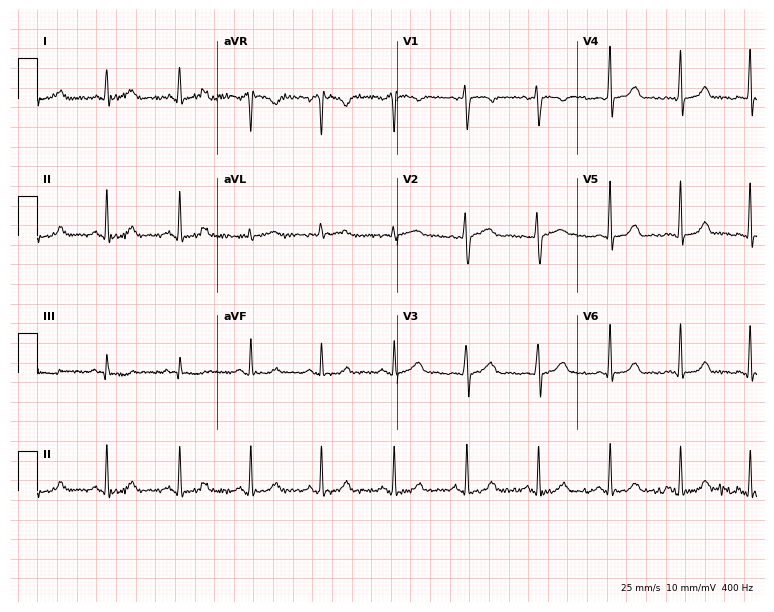
ECG — a 40-year-old woman. Labelled as a normal ECG.